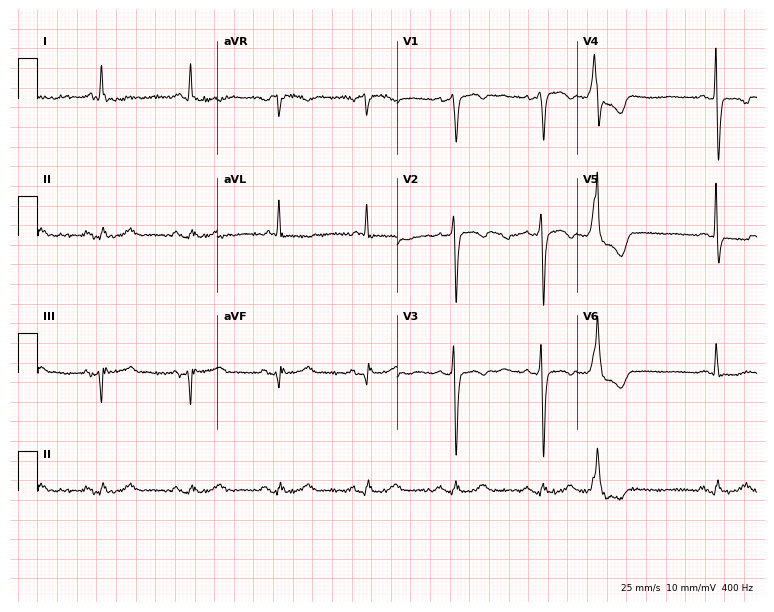
Electrocardiogram, a male patient, 79 years old. Of the six screened findings (first-degree AV block, right bundle branch block, left bundle branch block, sinus bradycardia, atrial fibrillation, sinus tachycardia), none is recorded. Only these six findings were labelled.